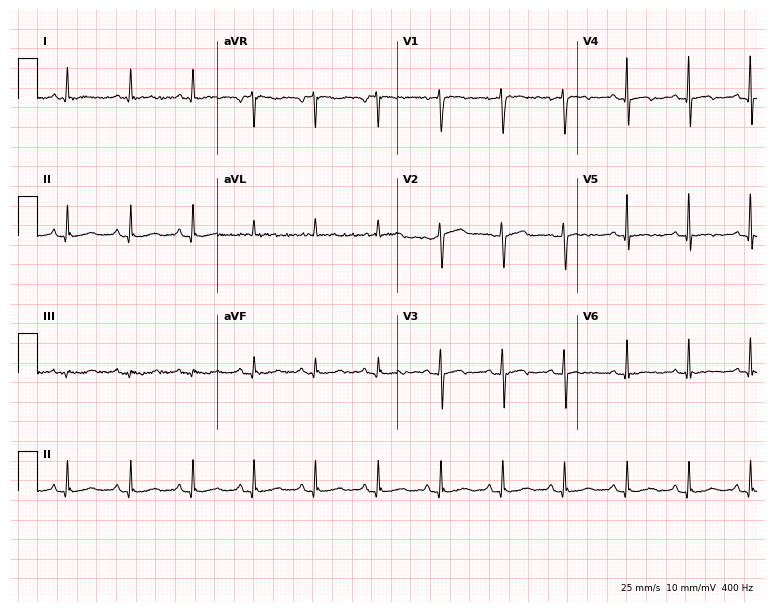
Standard 12-lead ECG recorded from a 57-year-old female. None of these six findings is recorded: first-degree AV block, right bundle branch block, left bundle branch block, sinus bradycardia, atrial fibrillation, sinus tachycardia. Findings outside these six are not listed.